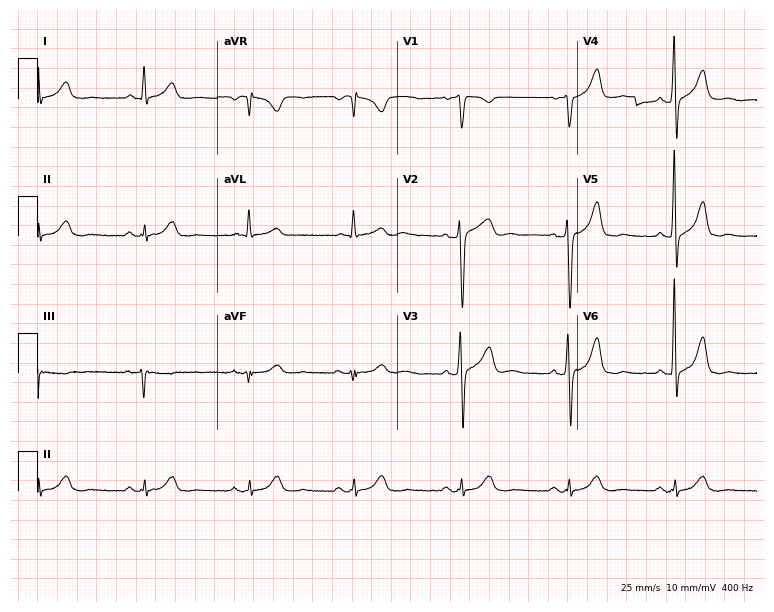
12-lead ECG from a 58-year-old male (7.3-second recording at 400 Hz). Recorded interpretation: within normal limits.